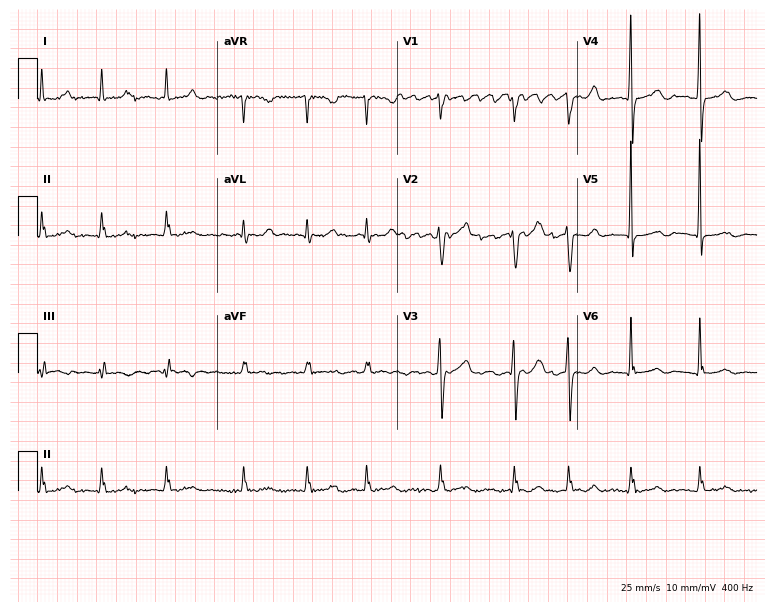
Standard 12-lead ECG recorded from a male patient, 62 years old (7.3-second recording at 400 Hz). The tracing shows atrial fibrillation.